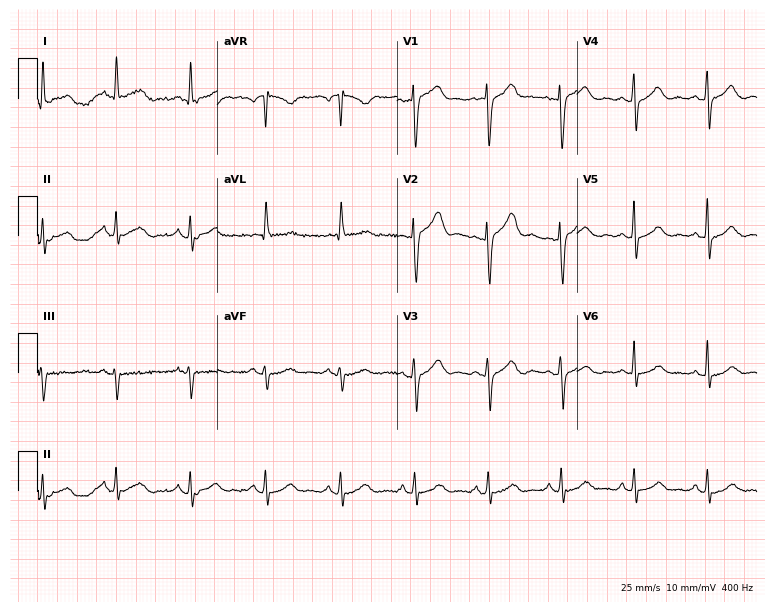
Resting 12-lead electrocardiogram (7.3-second recording at 400 Hz). Patient: a 77-year-old woman. Read as a normal ECG.